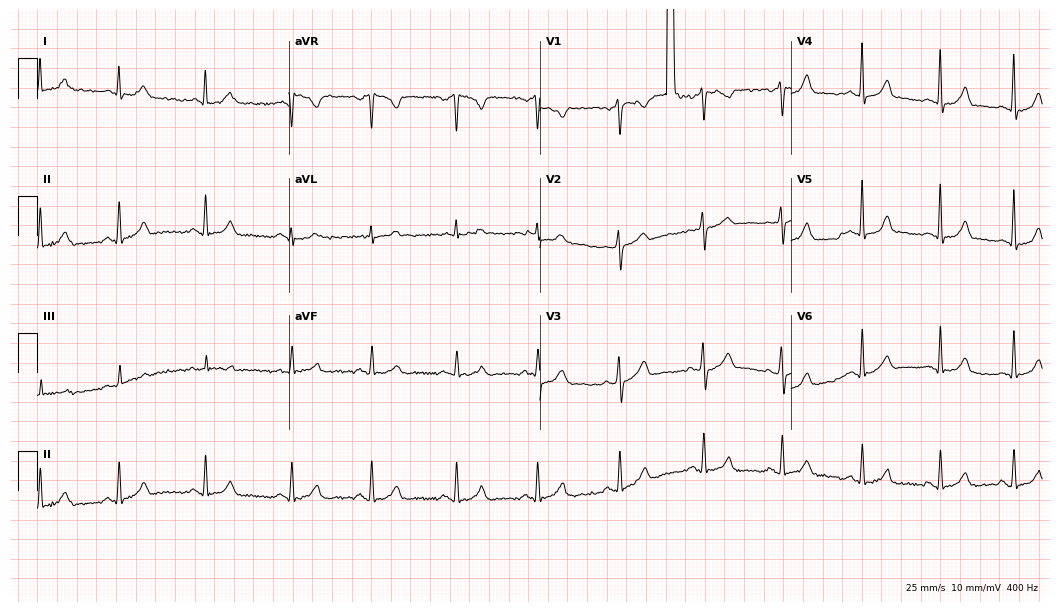
Resting 12-lead electrocardiogram. Patient: a woman, 28 years old. None of these six findings is recorded: first-degree AV block, right bundle branch block, left bundle branch block, sinus bradycardia, atrial fibrillation, sinus tachycardia.